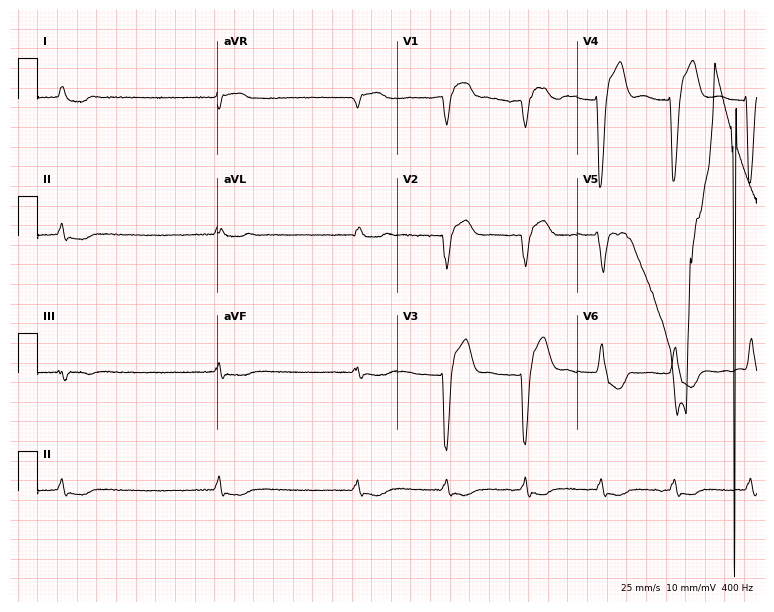
12-lead ECG (7.3-second recording at 400 Hz) from a female patient, 82 years old. Findings include left bundle branch block, atrial fibrillation.